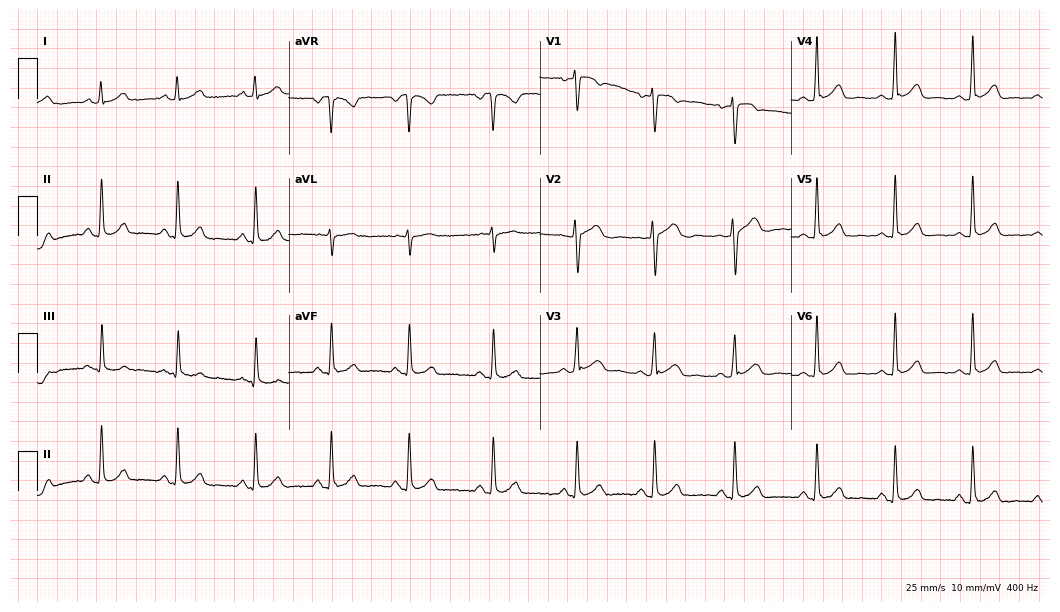
Electrocardiogram, a woman, 35 years old. Of the six screened findings (first-degree AV block, right bundle branch block (RBBB), left bundle branch block (LBBB), sinus bradycardia, atrial fibrillation (AF), sinus tachycardia), none is recorded.